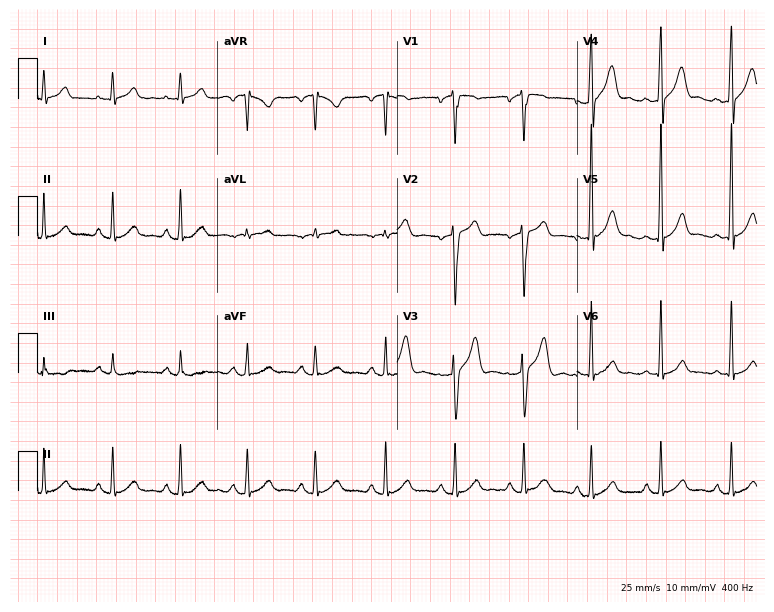
Resting 12-lead electrocardiogram (7.3-second recording at 400 Hz). Patient: a 23-year-old man. Read as a normal ECG.